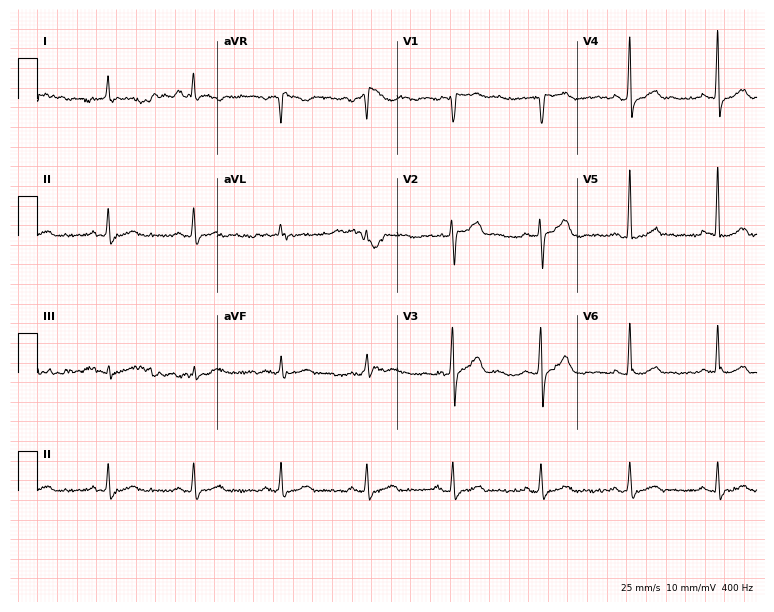
Electrocardiogram (7.3-second recording at 400 Hz), a 50-year-old man. Overall reading on record: normal ECG.